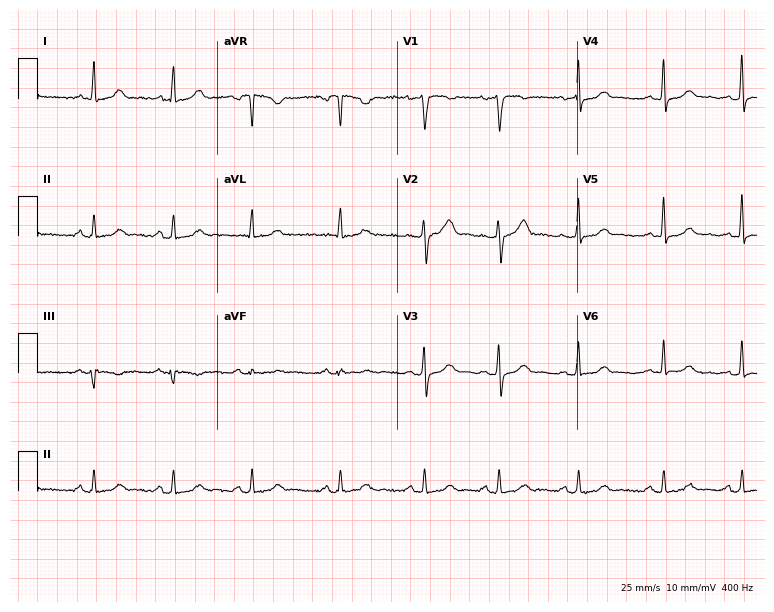
12-lead ECG from a female, 32 years old. Labelled as a normal ECG.